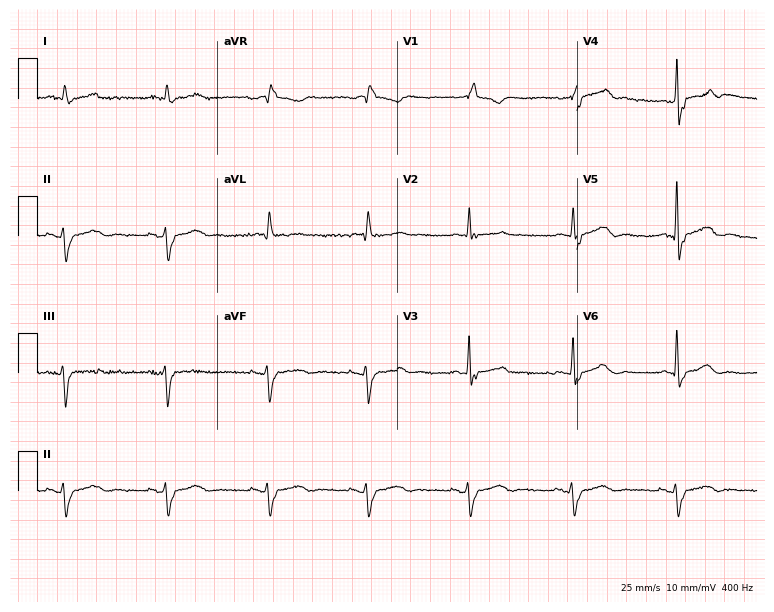
12-lead ECG from a male, 69 years old. Findings include right bundle branch block.